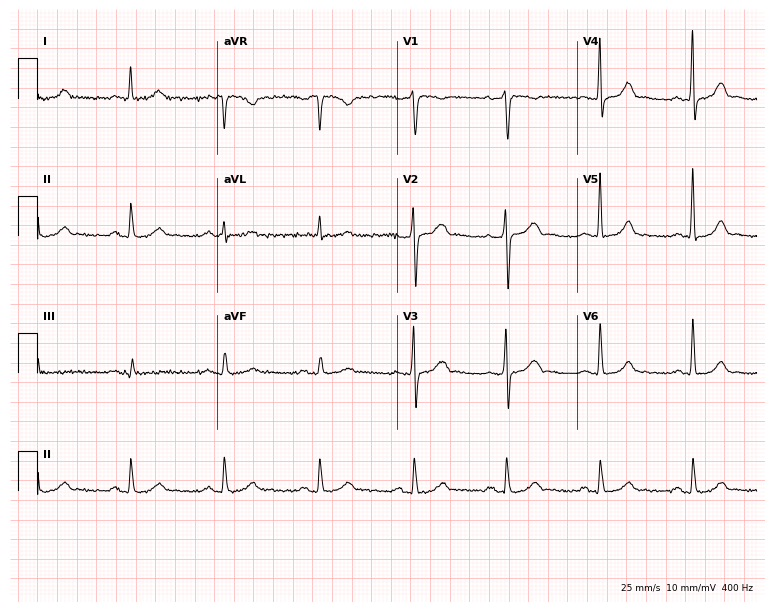
Electrocardiogram, a man, 76 years old. Overall reading on record: normal ECG.